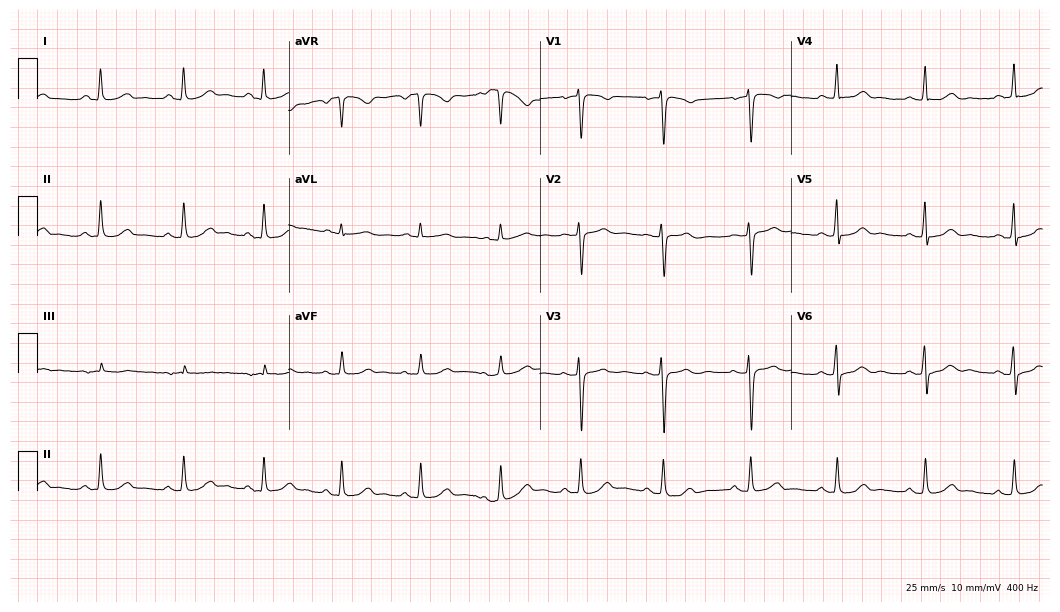
ECG (10.2-second recording at 400 Hz) — a 53-year-old female patient. Labelled as a normal ECG.